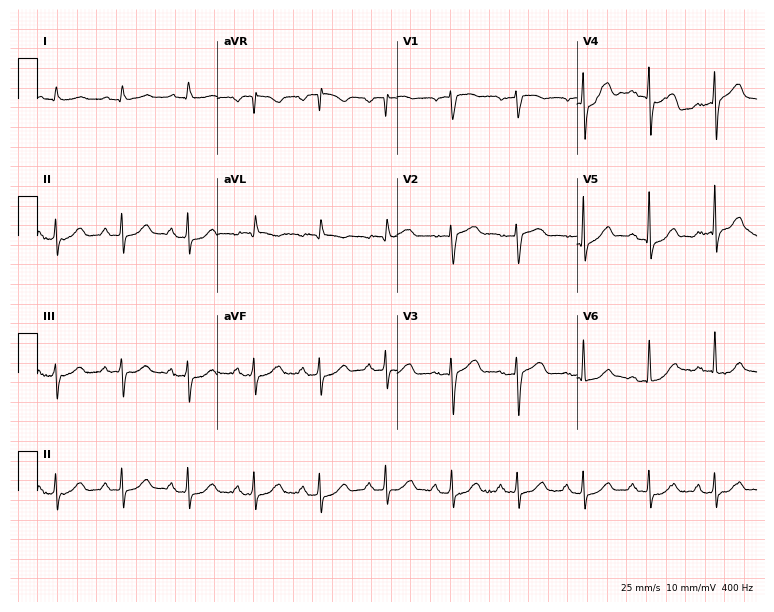
12-lead ECG from a male patient, 71 years old. Recorded interpretation: within normal limits.